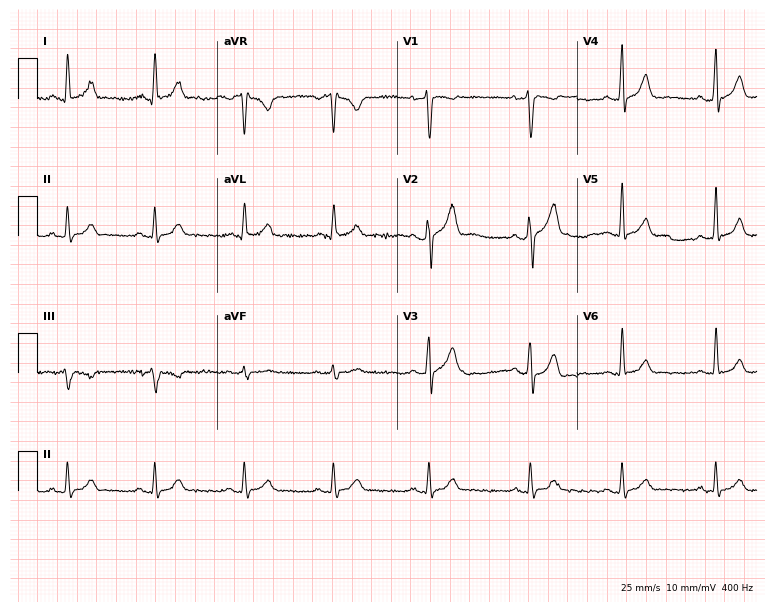
Electrocardiogram (7.3-second recording at 400 Hz), a male, 29 years old. Of the six screened findings (first-degree AV block, right bundle branch block, left bundle branch block, sinus bradycardia, atrial fibrillation, sinus tachycardia), none is recorded. Findings outside these six are not listed.